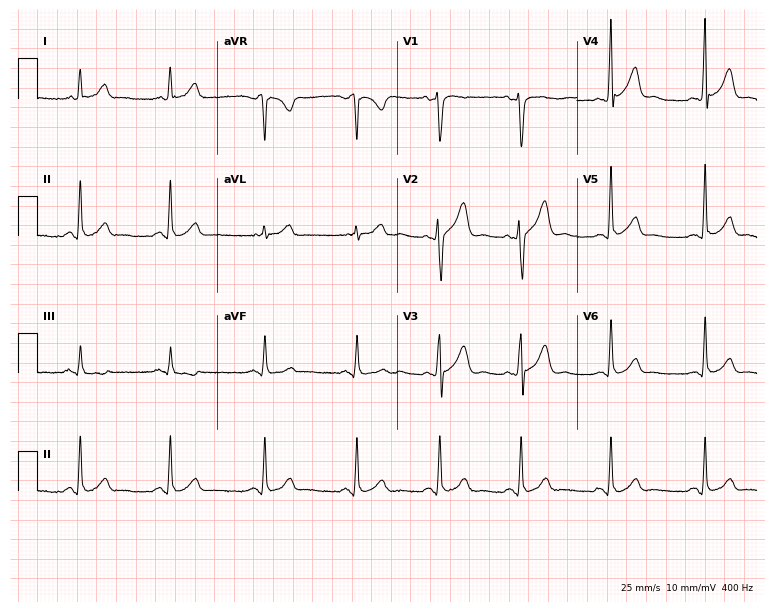
12-lead ECG from a 33-year-old man. Labelled as a normal ECG.